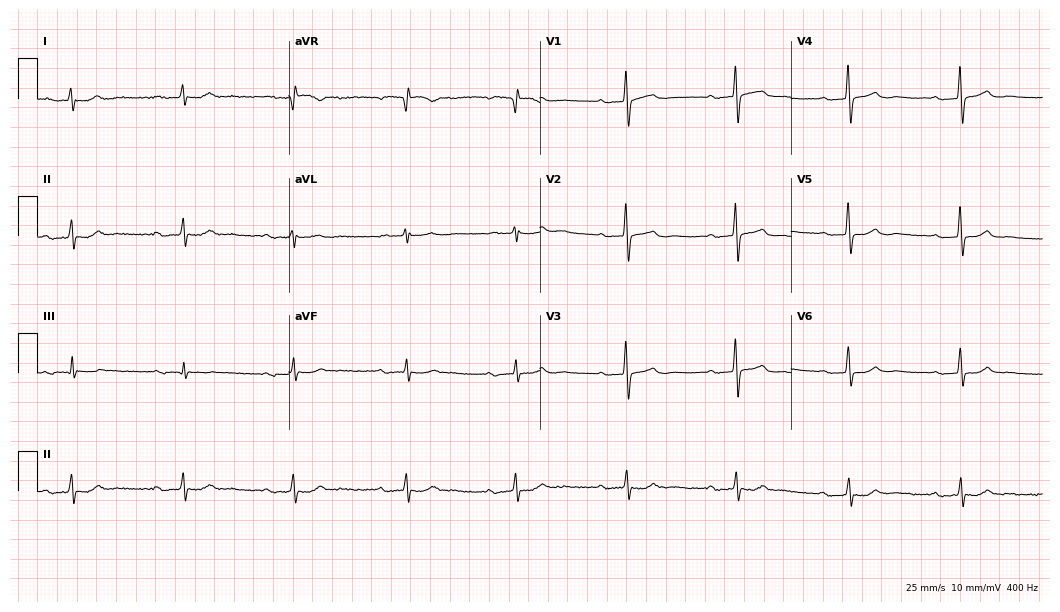
12-lead ECG (10.2-second recording at 400 Hz) from a 71-year-old woman. Screened for six findings — first-degree AV block, right bundle branch block, left bundle branch block, sinus bradycardia, atrial fibrillation, sinus tachycardia — none is recorded. Other findings, if any, are not listed.